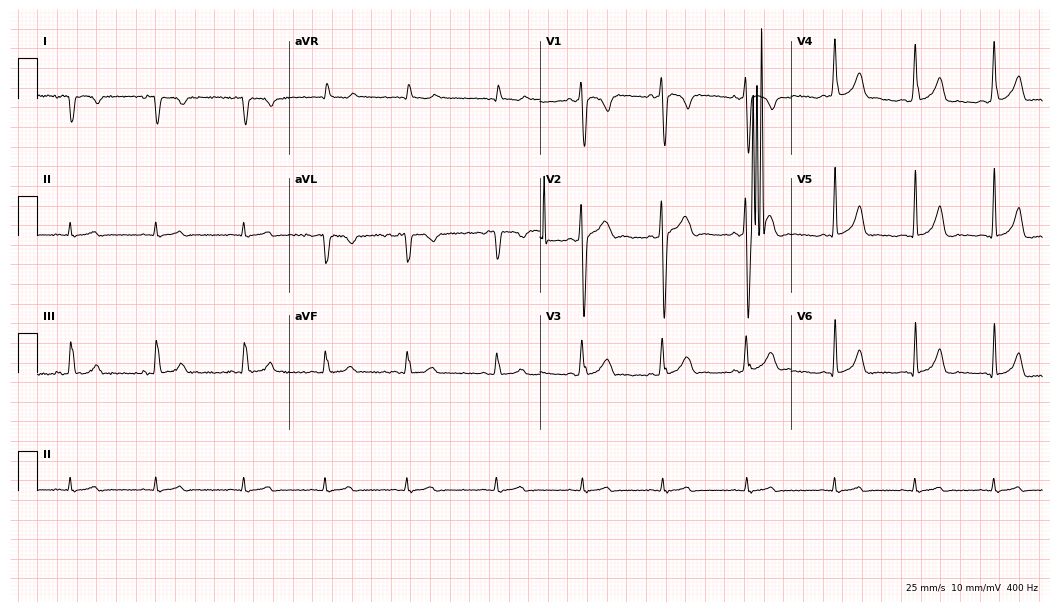
Electrocardiogram, a 25-year-old man. Of the six screened findings (first-degree AV block, right bundle branch block (RBBB), left bundle branch block (LBBB), sinus bradycardia, atrial fibrillation (AF), sinus tachycardia), none is recorded.